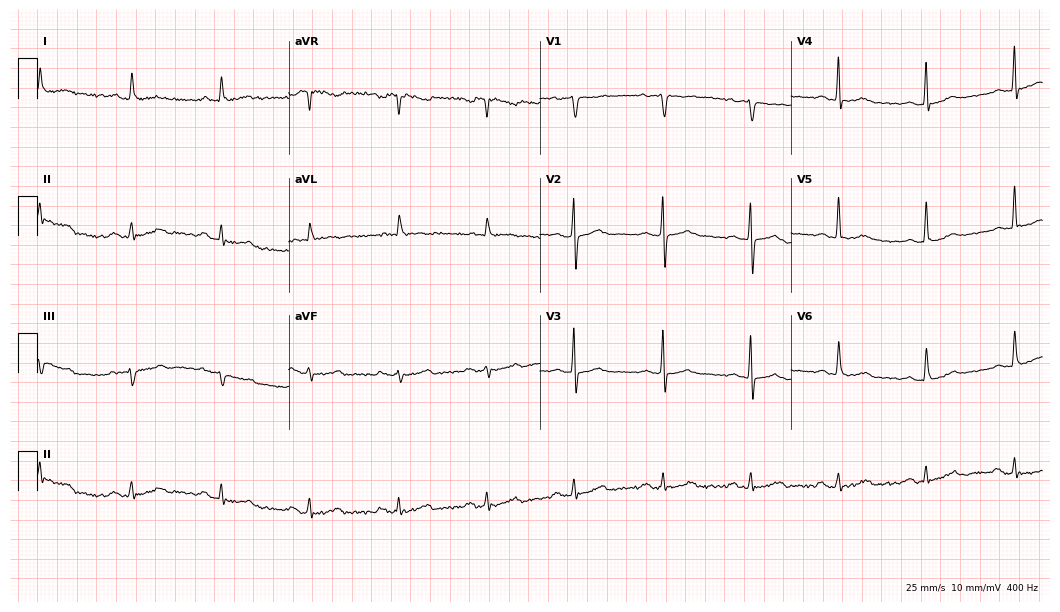
12-lead ECG from a 57-year-old male patient. Recorded interpretation: within normal limits.